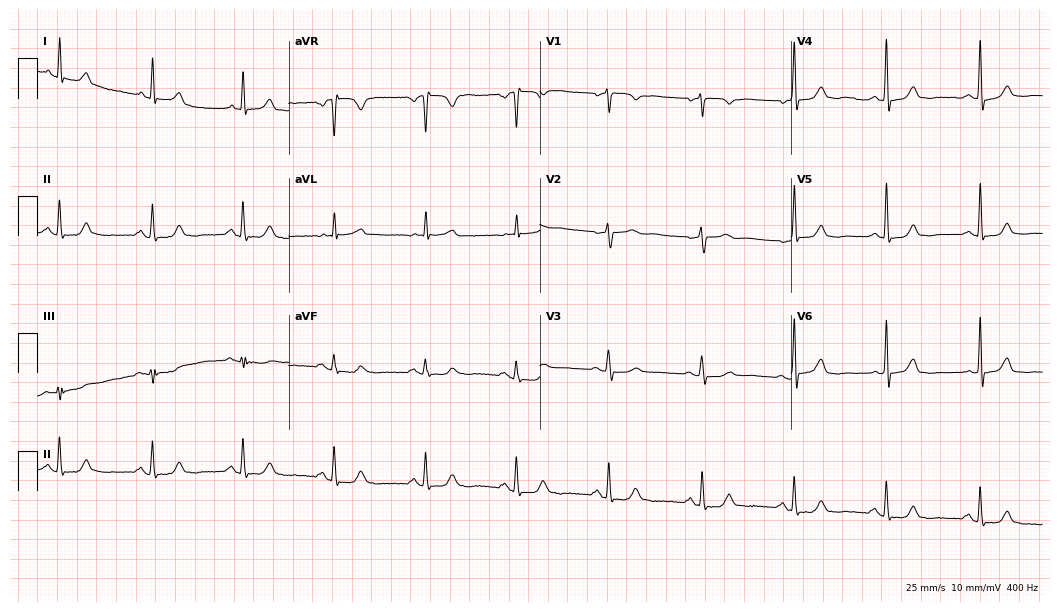
ECG (10.2-second recording at 400 Hz) — a woman, 64 years old. Labelled as a normal ECG.